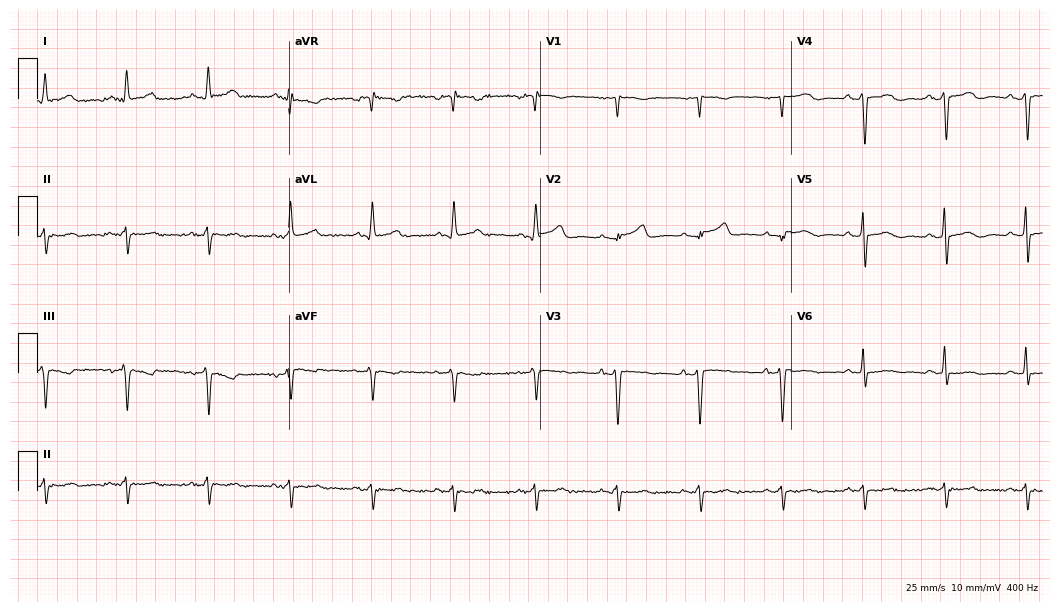
Standard 12-lead ECG recorded from a man, 71 years old. None of these six findings is recorded: first-degree AV block, right bundle branch block, left bundle branch block, sinus bradycardia, atrial fibrillation, sinus tachycardia.